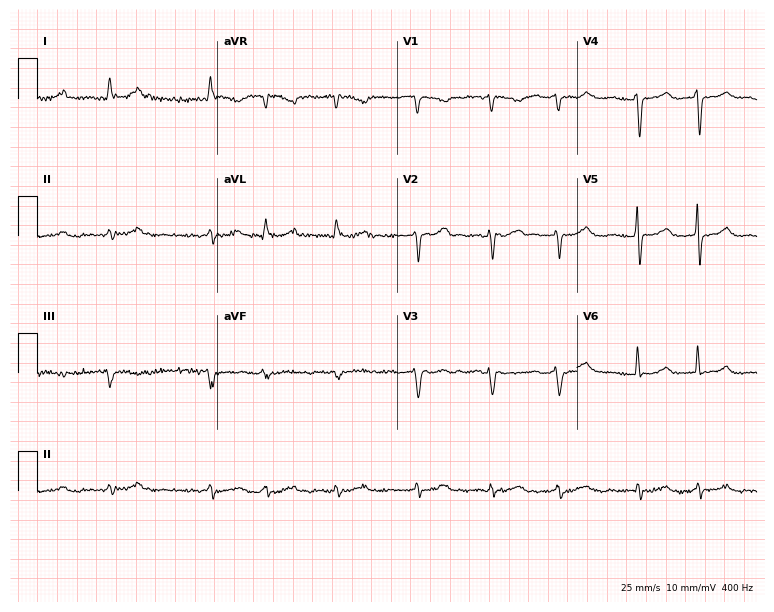
Standard 12-lead ECG recorded from a 71-year-old female patient (7.3-second recording at 400 Hz). None of these six findings is recorded: first-degree AV block, right bundle branch block (RBBB), left bundle branch block (LBBB), sinus bradycardia, atrial fibrillation (AF), sinus tachycardia.